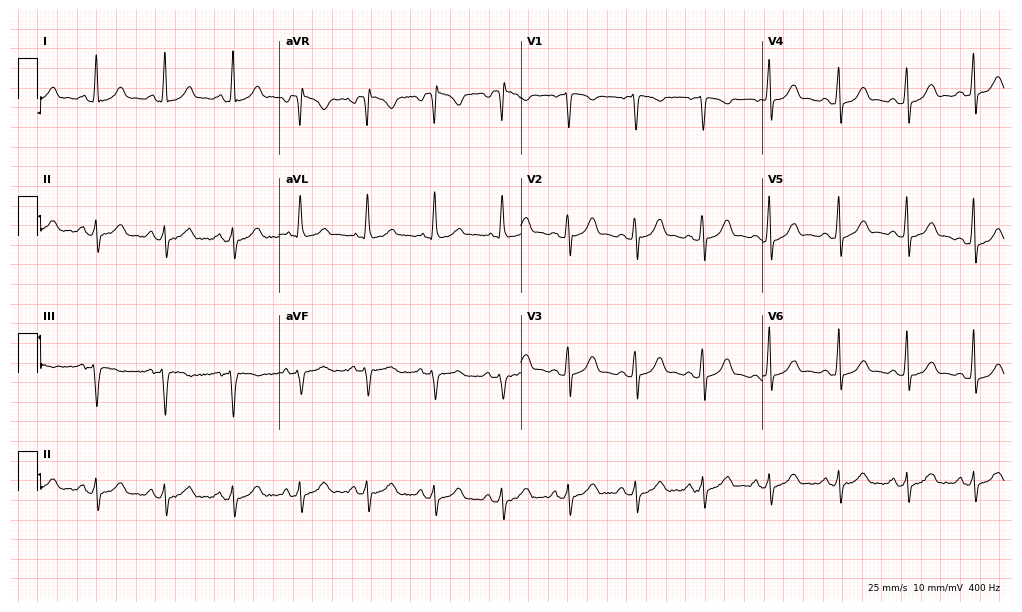
Standard 12-lead ECG recorded from a woman, 45 years old (9.9-second recording at 400 Hz). None of these six findings is recorded: first-degree AV block, right bundle branch block (RBBB), left bundle branch block (LBBB), sinus bradycardia, atrial fibrillation (AF), sinus tachycardia.